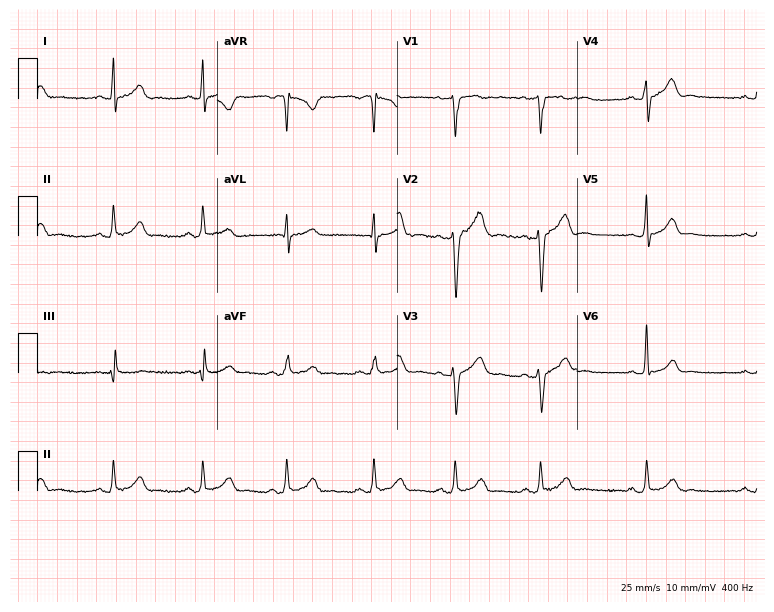
ECG — a man, 32 years old. Labelled as a normal ECG.